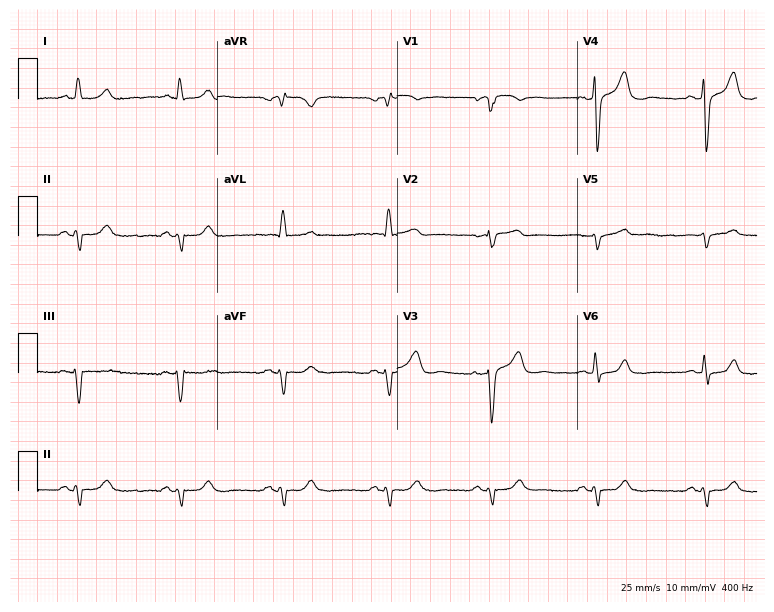
ECG (7.3-second recording at 400 Hz) — an 82-year-old female patient. Screened for six findings — first-degree AV block, right bundle branch block, left bundle branch block, sinus bradycardia, atrial fibrillation, sinus tachycardia — none is recorded.